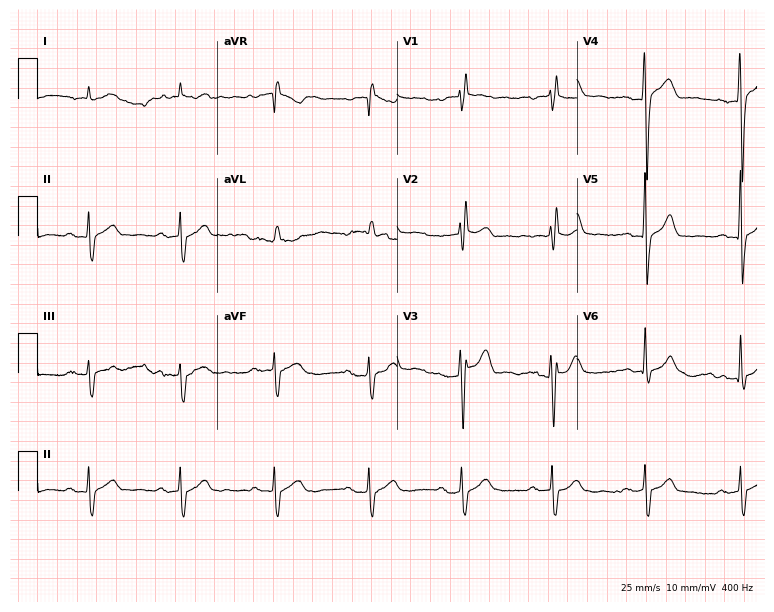
ECG (7.3-second recording at 400 Hz) — a 48-year-old male. Findings include first-degree AV block.